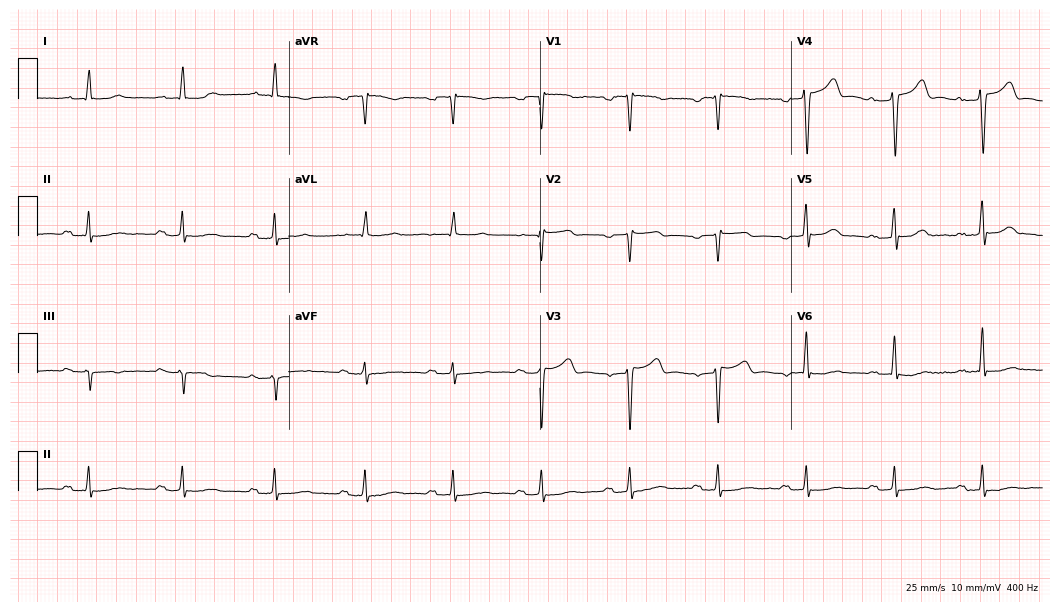
Electrocardiogram (10.2-second recording at 400 Hz), a man, 73 years old. Interpretation includes first-degree AV block.